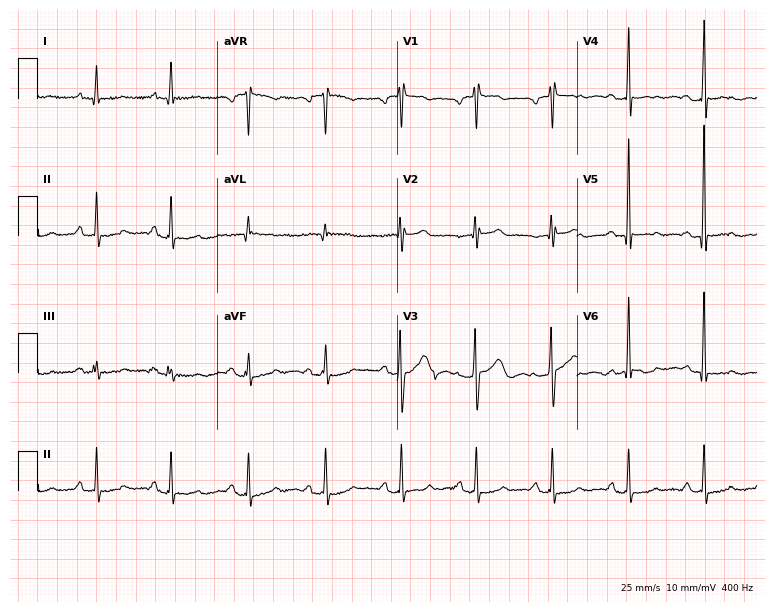
Standard 12-lead ECG recorded from a 57-year-old male patient (7.3-second recording at 400 Hz). None of these six findings is recorded: first-degree AV block, right bundle branch block, left bundle branch block, sinus bradycardia, atrial fibrillation, sinus tachycardia. Other findings, if any, are not listed.